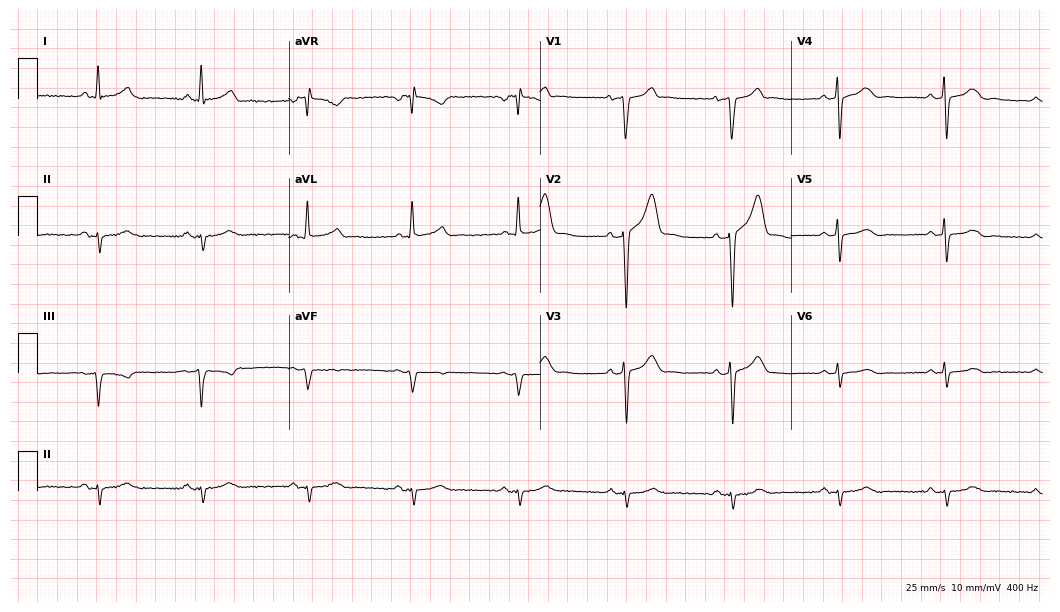
ECG — a 55-year-old man. Screened for six findings — first-degree AV block, right bundle branch block, left bundle branch block, sinus bradycardia, atrial fibrillation, sinus tachycardia — none is recorded. Only these six findings were labelled.